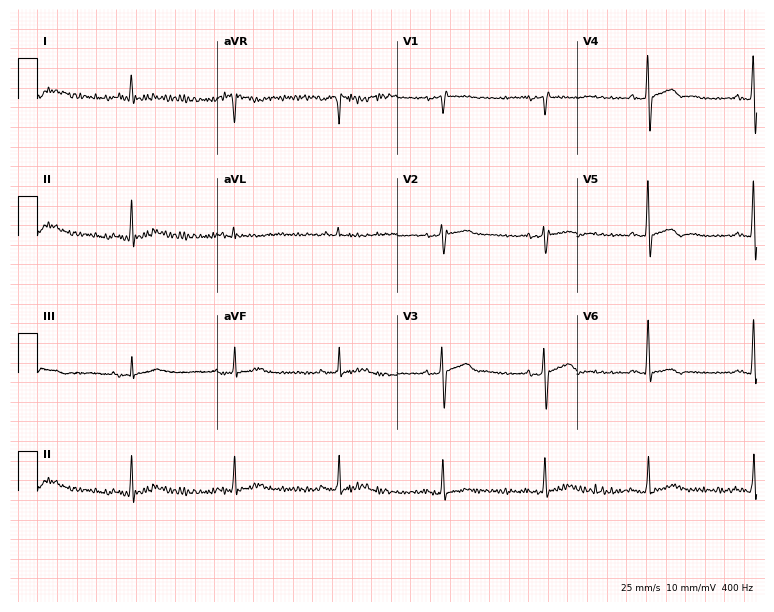
12-lead ECG from a 66-year-old man (7.3-second recording at 400 Hz). No first-degree AV block, right bundle branch block, left bundle branch block, sinus bradycardia, atrial fibrillation or sinus tachycardia recorded for this tracing.